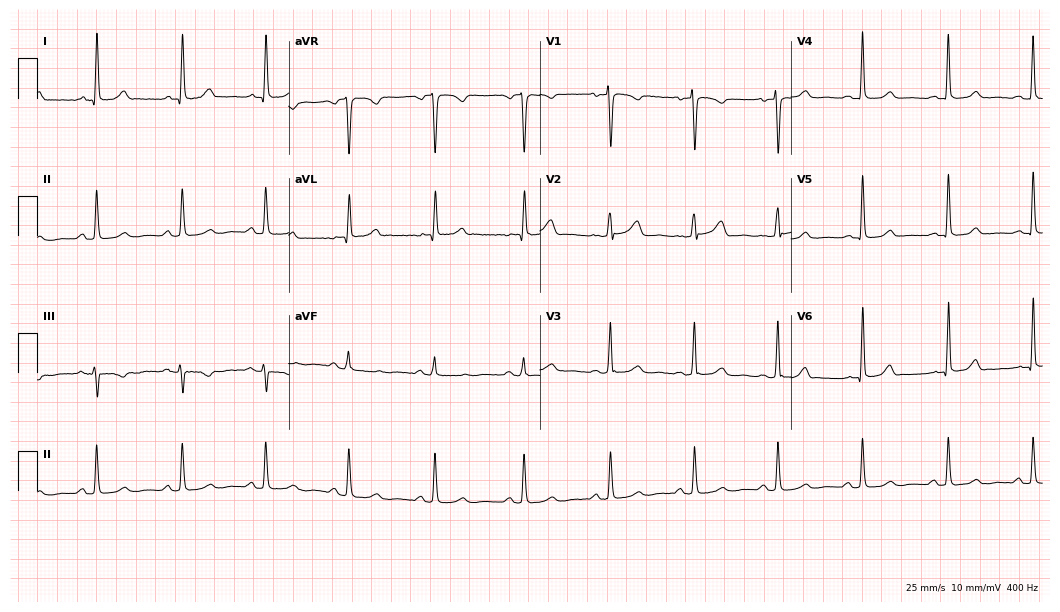
12-lead ECG from a female patient, 53 years old (10.2-second recording at 400 Hz). Recorded interpretation: within normal limits.